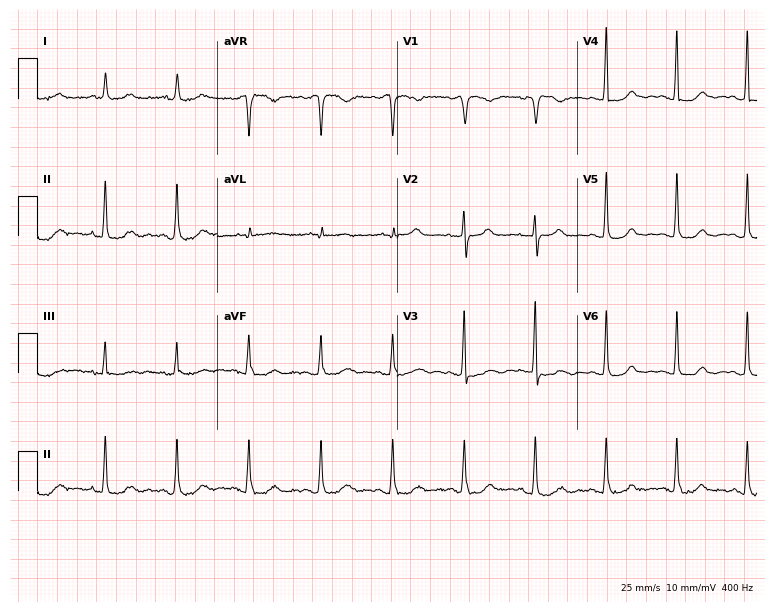
12-lead ECG from a 67-year-old female. Recorded interpretation: within normal limits.